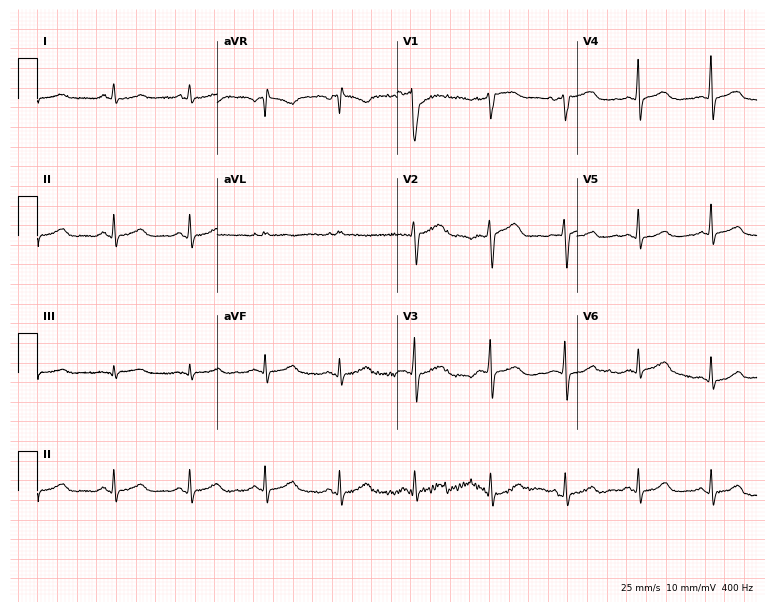
Electrocardiogram, a 50-year-old male. Overall reading on record: normal ECG.